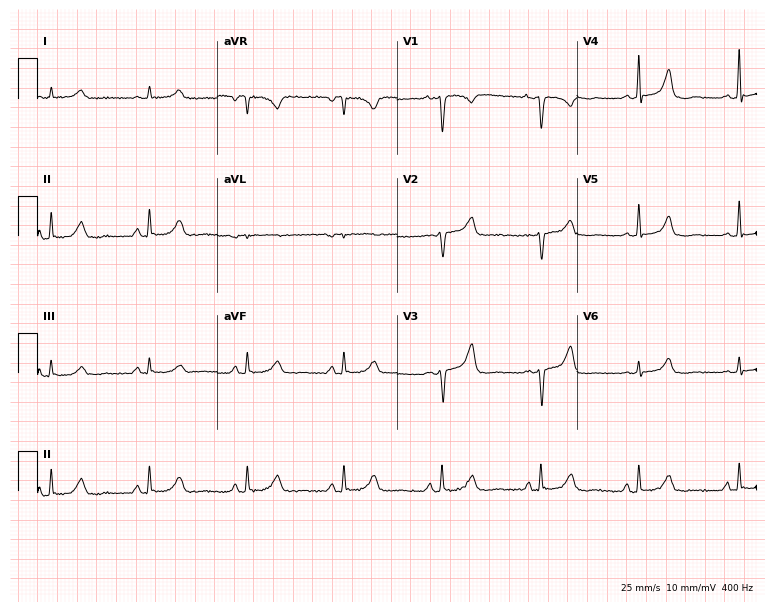
ECG (7.3-second recording at 400 Hz) — a female patient, 72 years old. Screened for six findings — first-degree AV block, right bundle branch block, left bundle branch block, sinus bradycardia, atrial fibrillation, sinus tachycardia — none is recorded. Only these six findings were labelled.